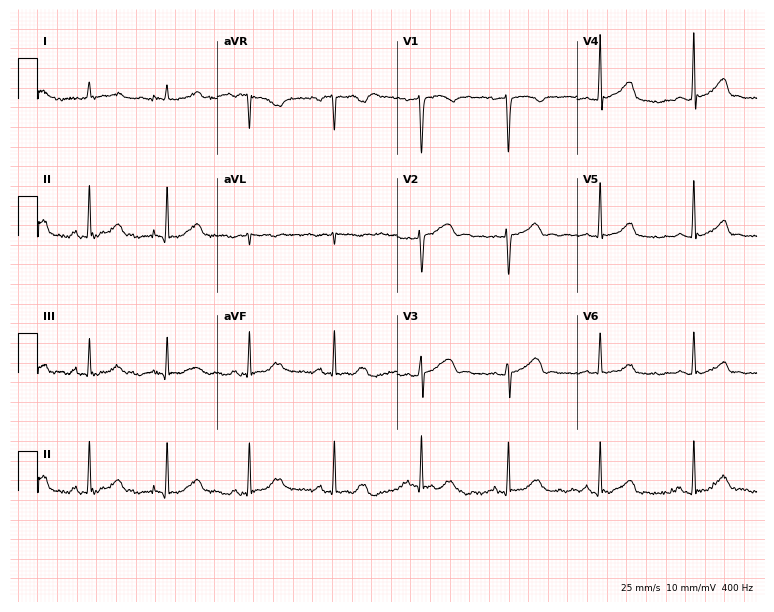
12-lead ECG from an 85-year-old female patient. No first-degree AV block, right bundle branch block (RBBB), left bundle branch block (LBBB), sinus bradycardia, atrial fibrillation (AF) or sinus tachycardia recorded for this tracing. Other findings, if any, are not listed.